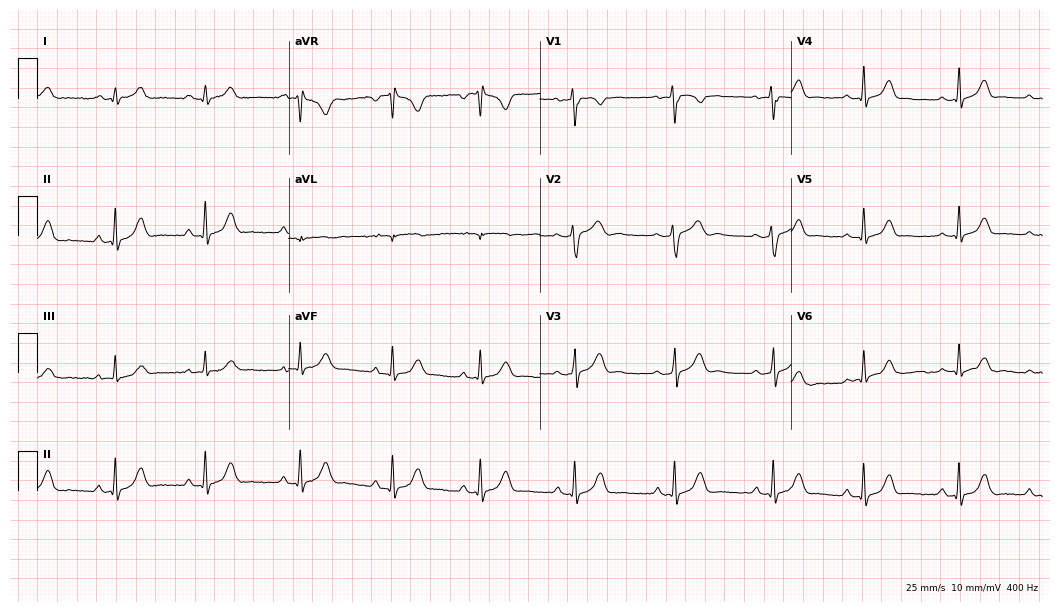
ECG — a 25-year-old female. Labelled as a normal ECG.